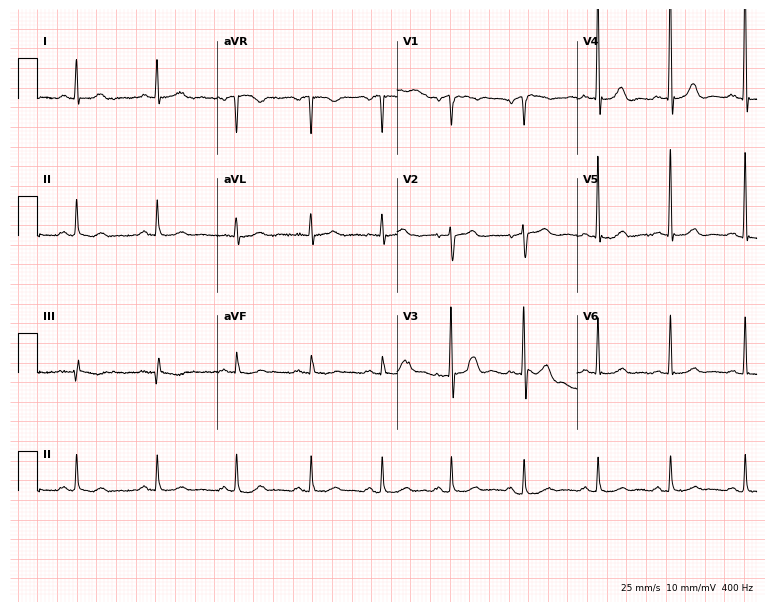
Electrocardiogram, a 71-year-old female. Of the six screened findings (first-degree AV block, right bundle branch block, left bundle branch block, sinus bradycardia, atrial fibrillation, sinus tachycardia), none is recorded. Other findings, if any, are not listed.